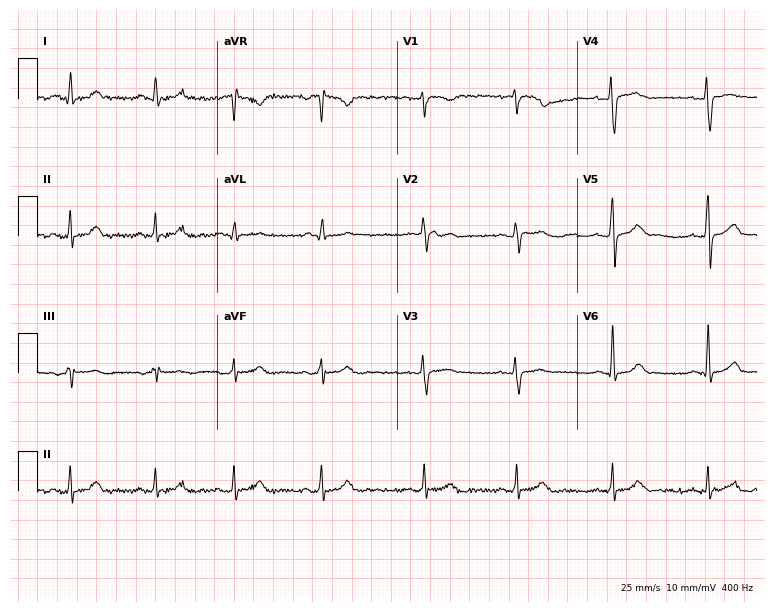
12-lead ECG from a 41-year-old woman (7.3-second recording at 400 Hz). No first-degree AV block, right bundle branch block (RBBB), left bundle branch block (LBBB), sinus bradycardia, atrial fibrillation (AF) or sinus tachycardia recorded for this tracing. Other findings, if any, are not listed.